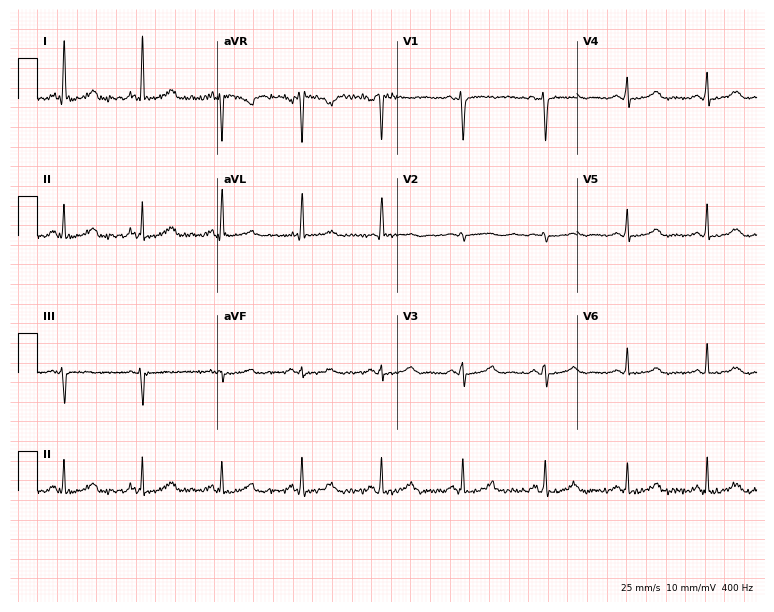
12-lead ECG (7.3-second recording at 400 Hz) from a female, 53 years old. Labelled as a normal ECG.